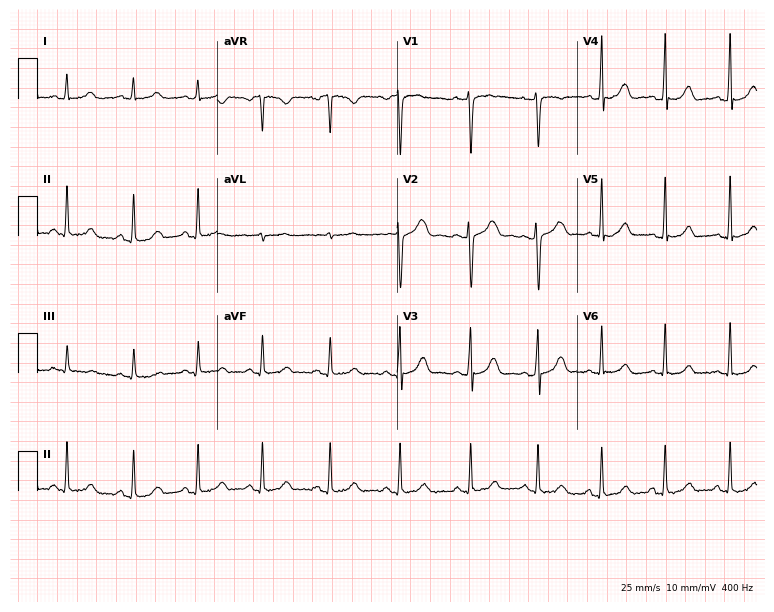
Electrocardiogram (7.3-second recording at 400 Hz), a 31-year-old female. Overall reading on record: normal ECG.